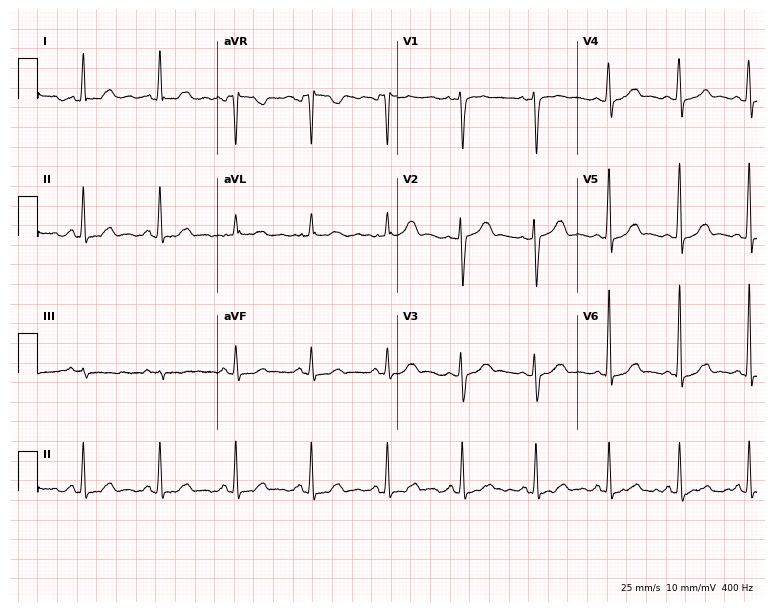
12-lead ECG from a female, 44 years old. Screened for six findings — first-degree AV block, right bundle branch block (RBBB), left bundle branch block (LBBB), sinus bradycardia, atrial fibrillation (AF), sinus tachycardia — none is recorded. Only these six findings were labelled.